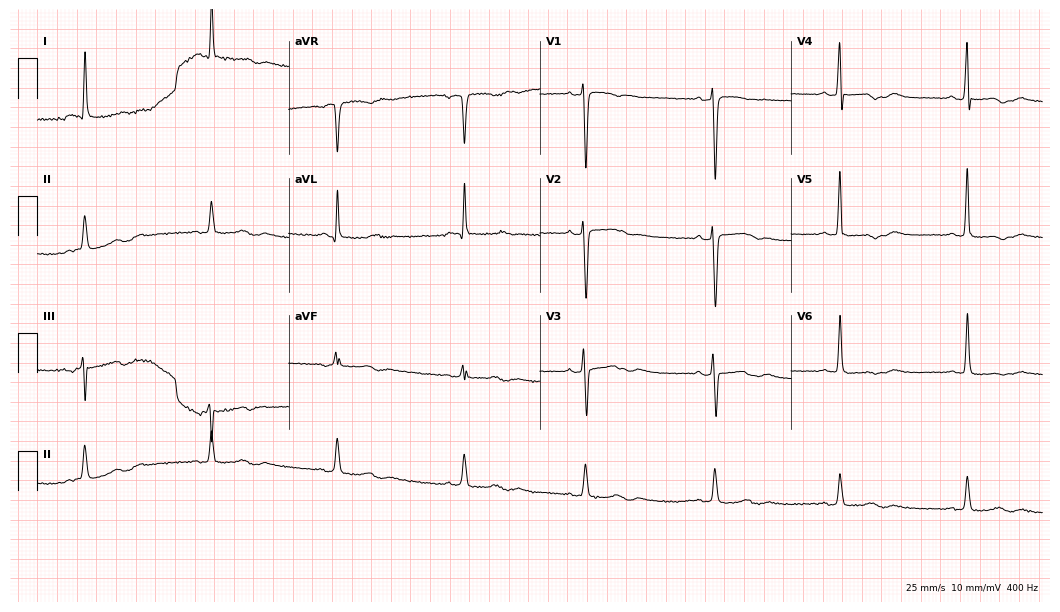
12-lead ECG from a female, 68 years old (10.2-second recording at 400 Hz). Shows sinus bradycardia (a sinus rate of 50 beats per minute or less).